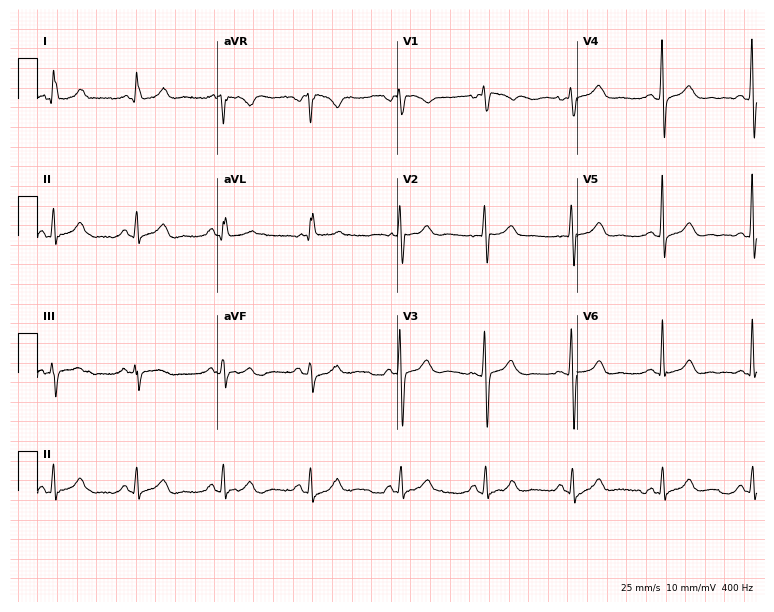
Standard 12-lead ECG recorded from a 54-year-old woman (7.3-second recording at 400 Hz). Read as a normal ECG.